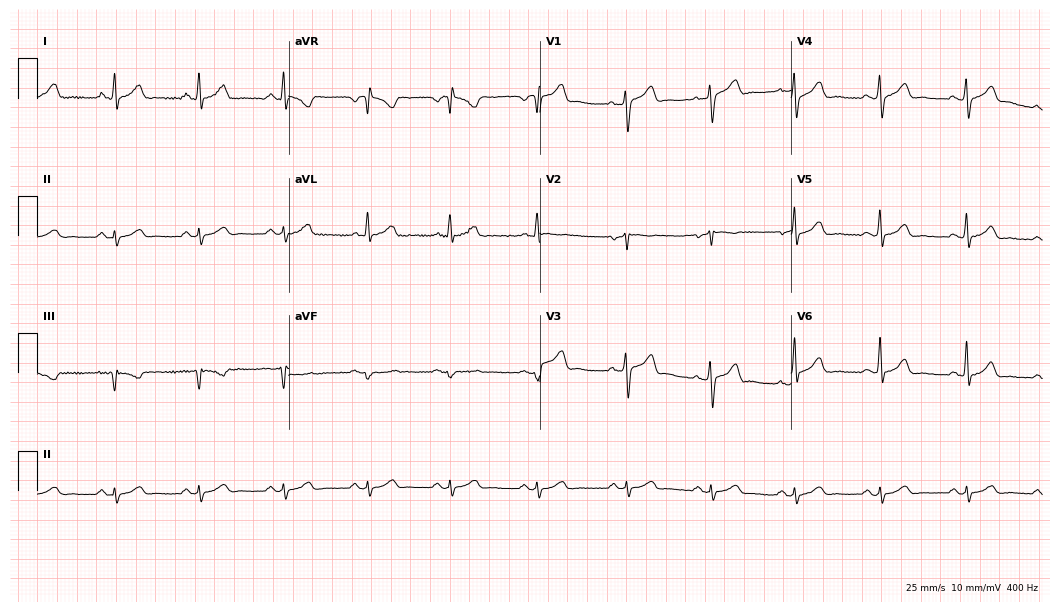
12-lead ECG from a 43-year-old male patient (10.2-second recording at 400 Hz). No first-degree AV block, right bundle branch block (RBBB), left bundle branch block (LBBB), sinus bradycardia, atrial fibrillation (AF) or sinus tachycardia recorded for this tracing. Other findings, if any, are not listed.